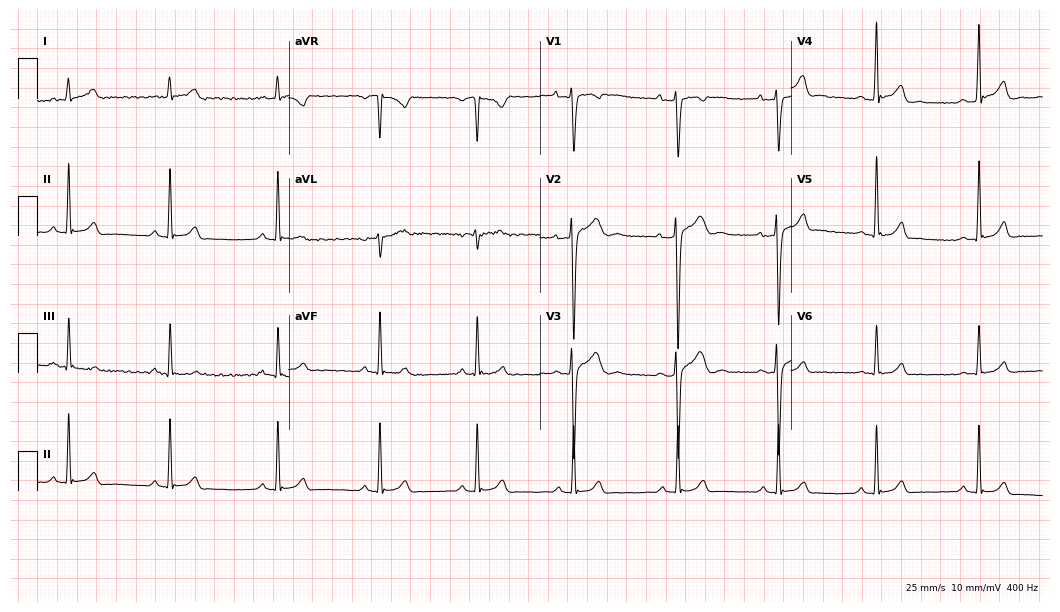
ECG — a 23-year-old male. Labelled as a normal ECG.